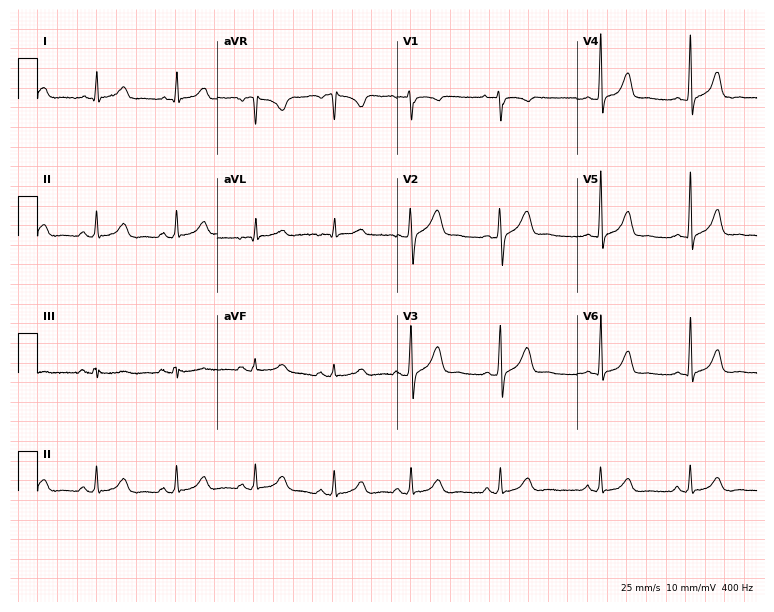
12-lead ECG from a woman, 28 years old (7.3-second recording at 400 Hz). No first-degree AV block, right bundle branch block (RBBB), left bundle branch block (LBBB), sinus bradycardia, atrial fibrillation (AF) or sinus tachycardia recorded for this tracing. Only these six findings were labelled.